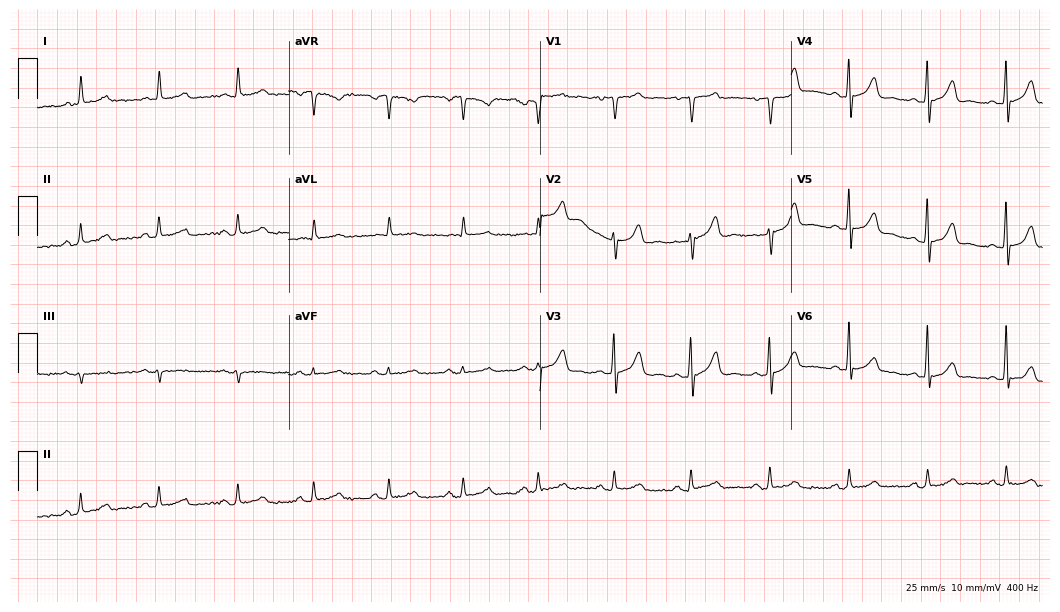
Standard 12-lead ECG recorded from a 57-year-old female patient (10.2-second recording at 400 Hz). Read as a normal ECG.